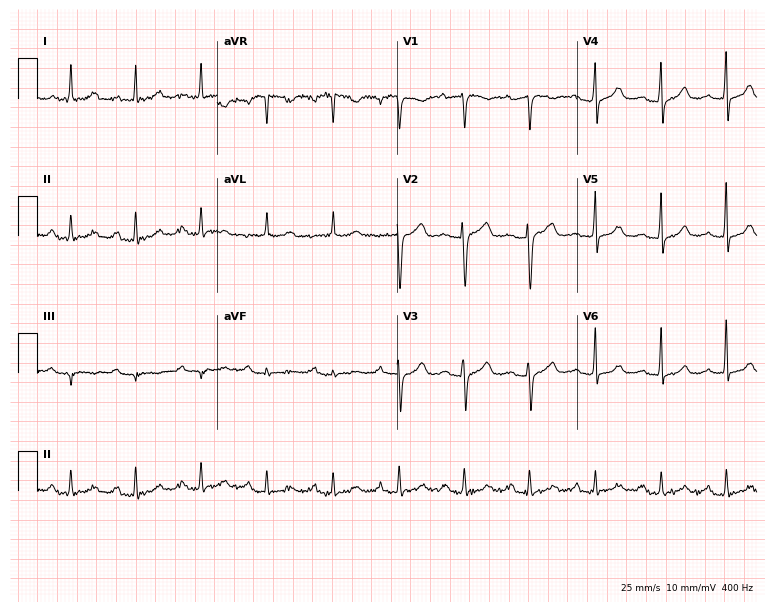
Standard 12-lead ECG recorded from a woman, 79 years old. The tracing shows first-degree AV block.